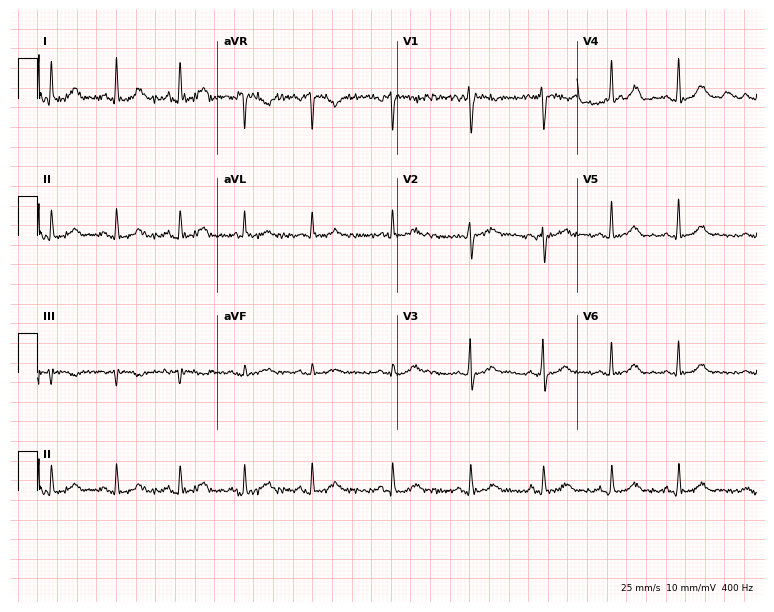
12-lead ECG (7.3-second recording at 400 Hz) from a 36-year-old female. Screened for six findings — first-degree AV block, right bundle branch block, left bundle branch block, sinus bradycardia, atrial fibrillation, sinus tachycardia — none is recorded.